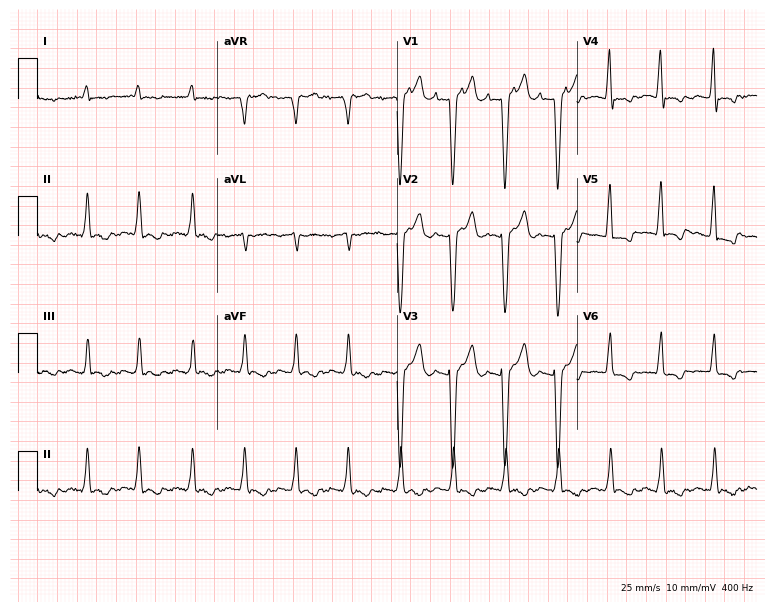
Standard 12-lead ECG recorded from a male patient, 77 years old (7.3-second recording at 400 Hz). The tracing shows sinus tachycardia (a sinus rate of 100 beats per minute or more).